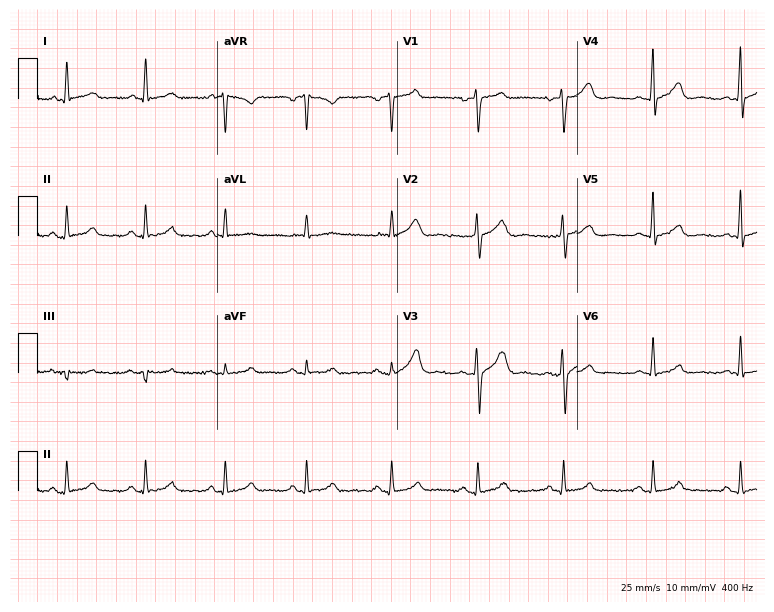
Standard 12-lead ECG recorded from a male, 44 years old (7.3-second recording at 400 Hz). Read as a normal ECG.